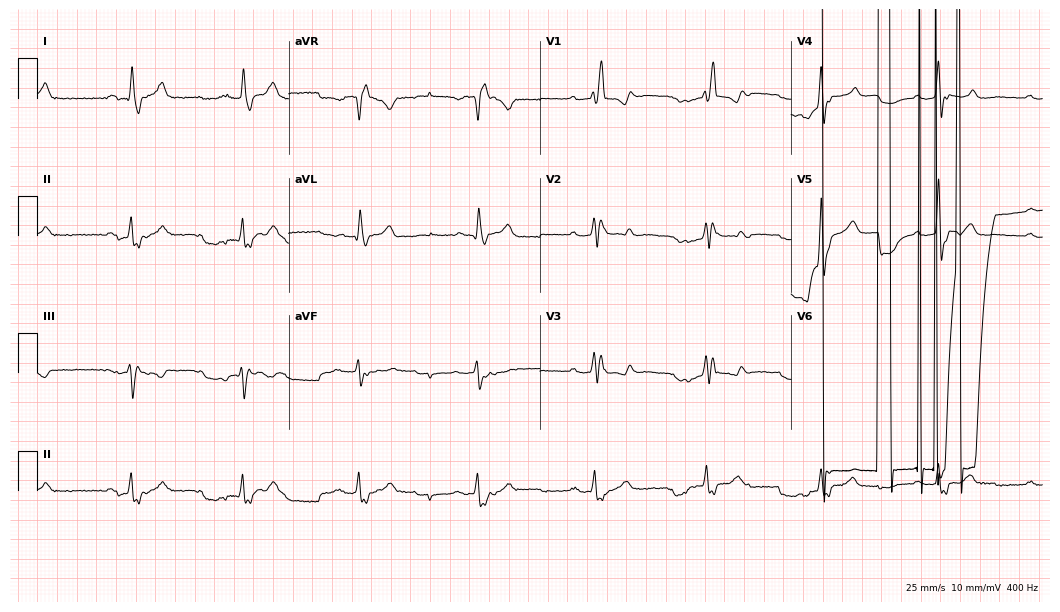
12-lead ECG from a male, 56 years old. Screened for six findings — first-degree AV block, right bundle branch block, left bundle branch block, sinus bradycardia, atrial fibrillation, sinus tachycardia — none is recorded. Only these six findings were labelled.